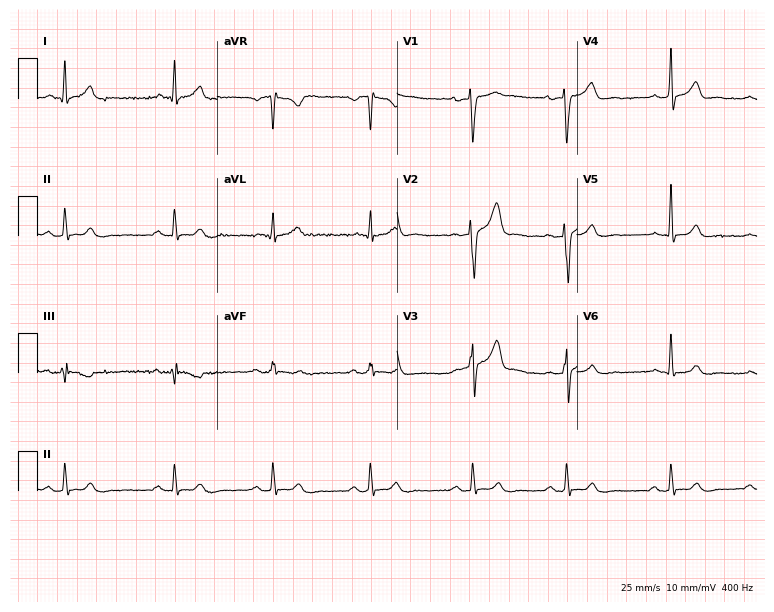
Standard 12-lead ECG recorded from a man, 36 years old. Read as a normal ECG.